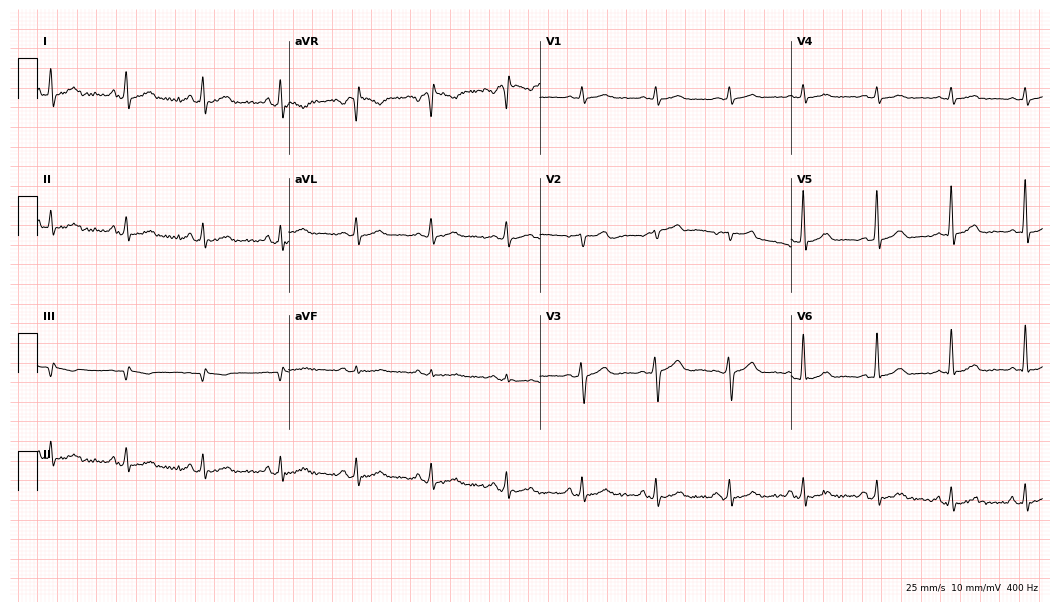
Resting 12-lead electrocardiogram (10.2-second recording at 400 Hz). Patient: a female, 49 years old. None of these six findings is recorded: first-degree AV block, right bundle branch block, left bundle branch block, sinus bradycardia, atrial fibrillation, sinus tachycardia. Other findings, if any, are not listed.